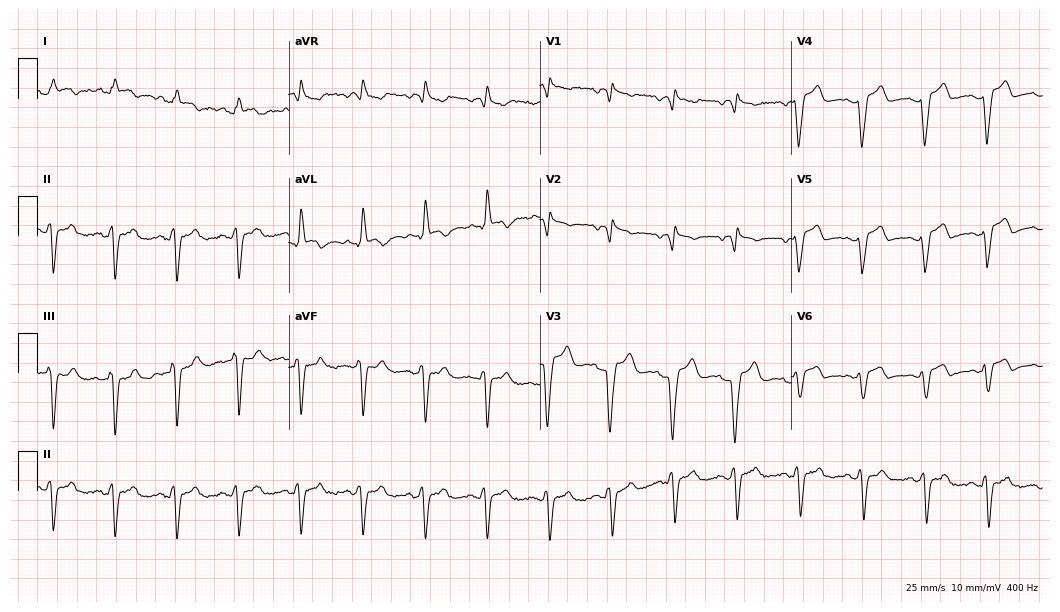
Resting 12-lead electrocardiogram (10.2-second recording at 400 Hz). Patient: a 67-year-old woman. The tracing shows right bundle branch block (RBBB).